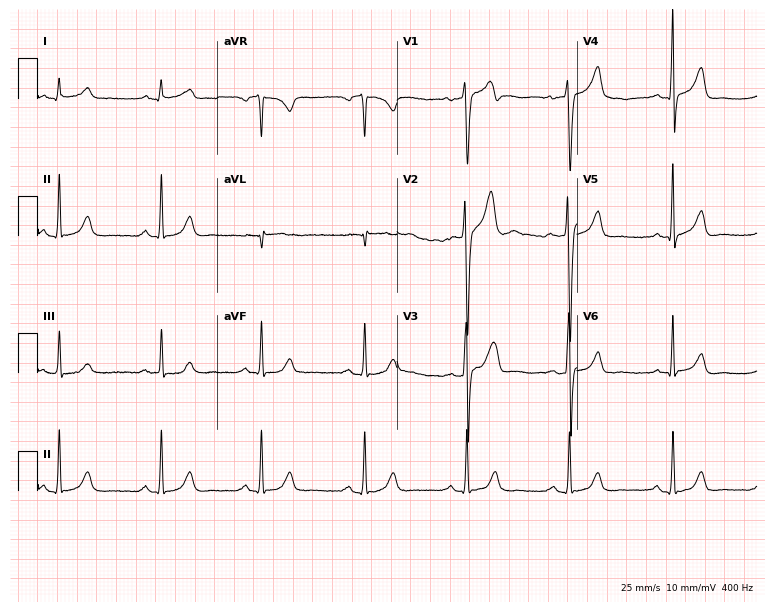
ECG (7.3-second recording at 400 Hz) — a 34-year-old male. Labelled as a normal ECG.